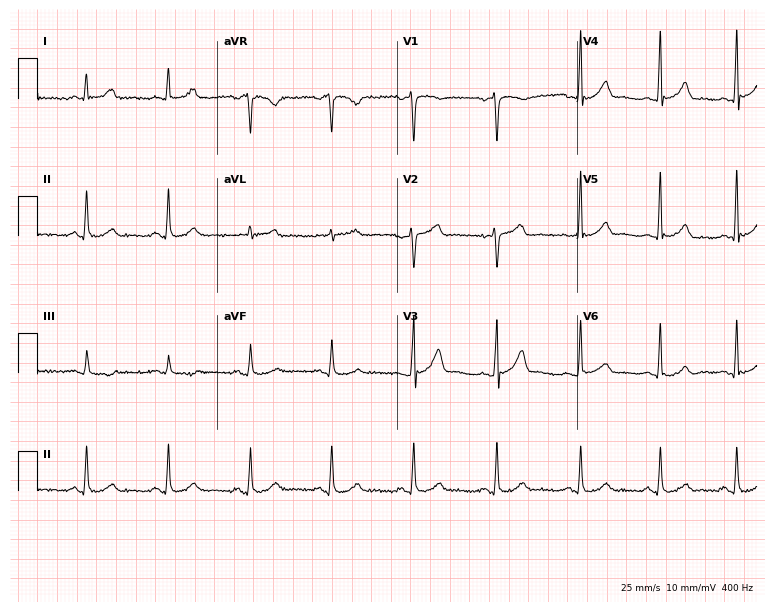
12-lead ECG (7.3-second recording at 400 Hz) from a male patient, 56 years old. Labelled as a normal ECG.